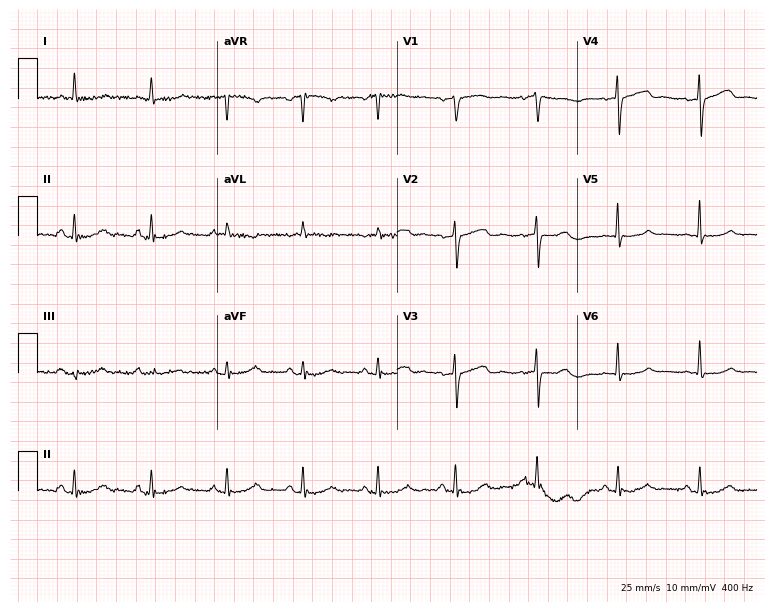
Electrocardiogram (7.3-second recording at 400 Hz), a 70-year-old woman. Of the six screened findings (first-degree AV block, right bundle branch block, left bundle branch block, sinus bradycardia, atrial fibrillation, sinus tachycardia), none is recorded. Findings outside these six are not listed.